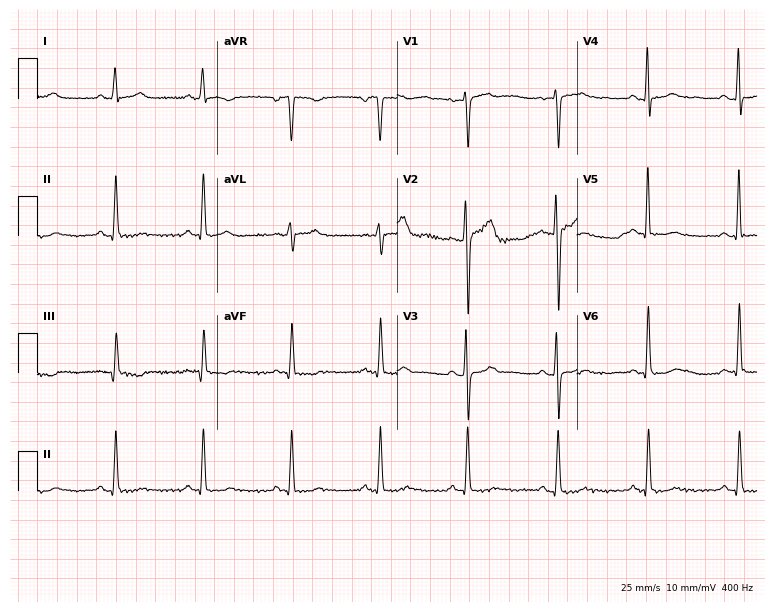
12-lead ECG from a 59-year-old female patient (7.3-second recording at 400 Hz). No first-degree AV block, right bundle branch block (RBBB), left bundle branch block (LBBB), sinus bradycardia, atrial fibrillation (AF) or sinus tachycardia recorded for this tracing.